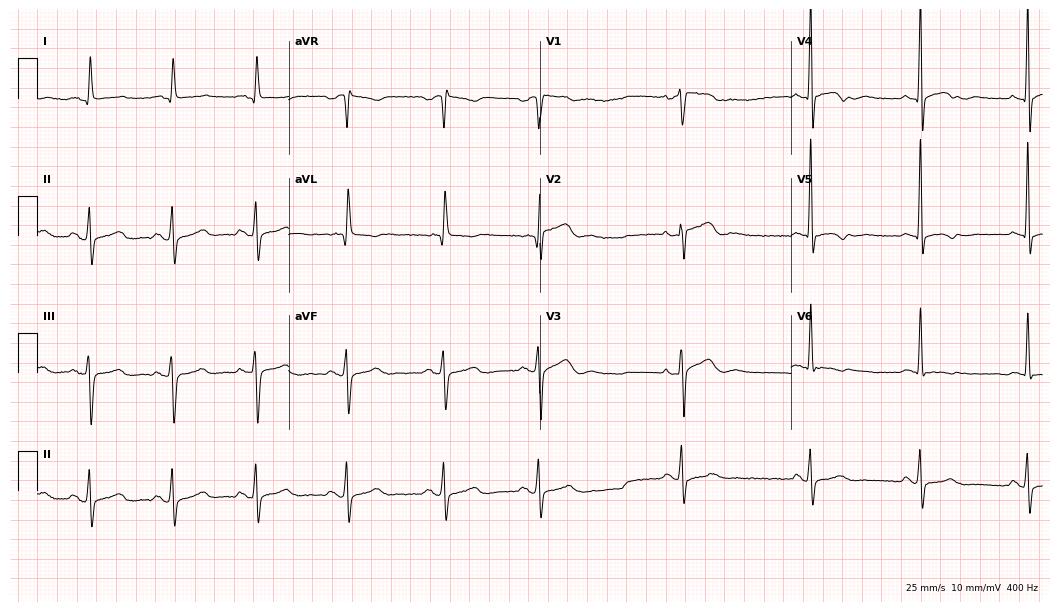
ECG (10.2-second recording at 400 Hz) — a female, 68 years old. Screened for six findings — first-degree AV block, right bundle branch block (RBBB), left bundle branch block (LBBB), sinus bradycardia, atrial fibrillation (AF), sinus tachycardia — none is recorded. Only these six findings were labelled.